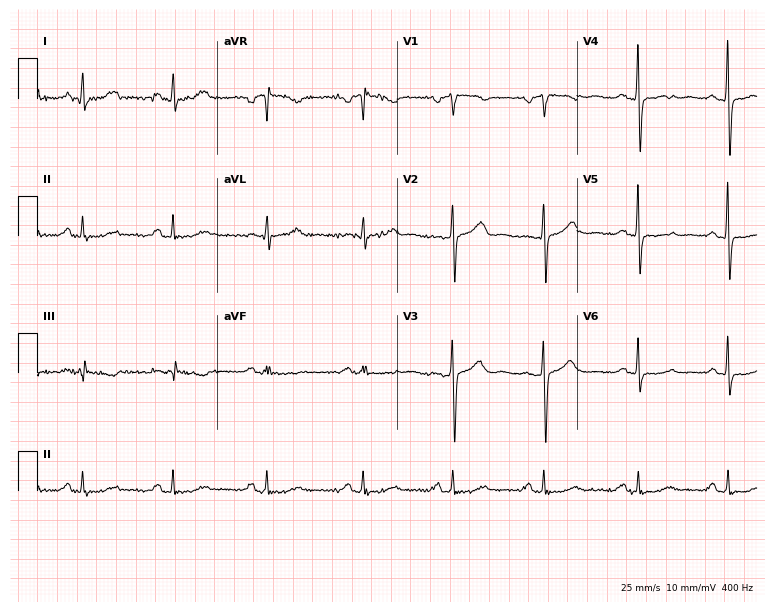
Resting 12-lead electrocardiogram (7.3-second recording at 400 Hz). Patient: a woman, 57 years old. None of these six findings is recorded: first-degree AV block, right bundle branch block, left bundle branch block, sinus bradycardia, atrial fibrillation, sinus tachycardia.